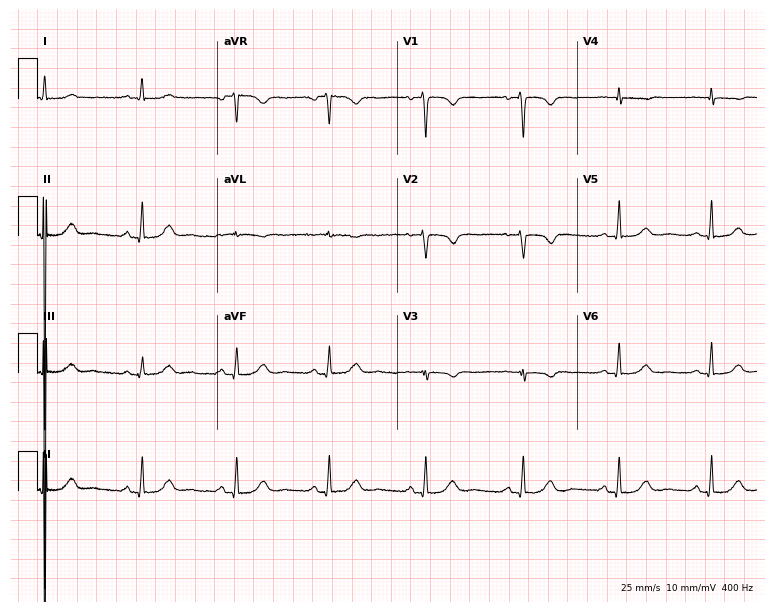
12-lead ECG from a female patient, 41 years old. No first-degree AV block, right bundle branch block, left bundle branch block, sinus bradycardia, atrial fibrillation or sinus tachycardia recorded for this tracing. Findings outside these six are not listed.